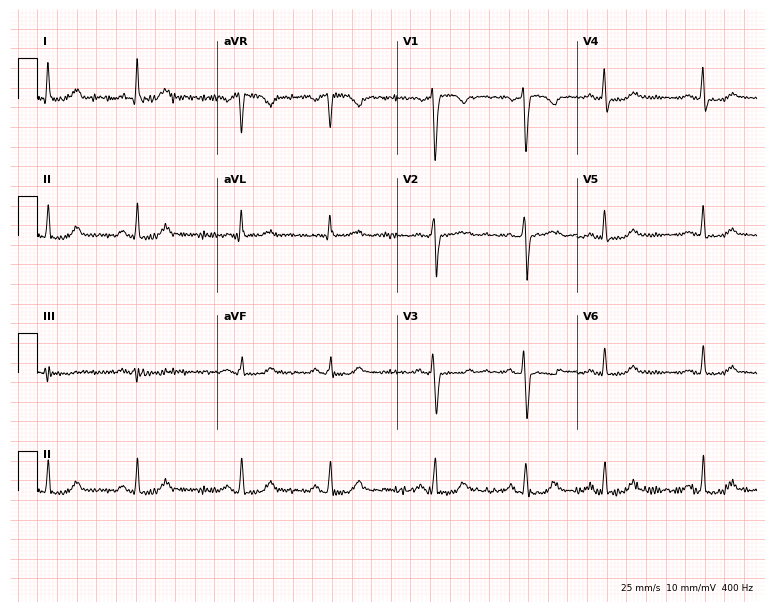
12-lead ECG from a female patient, 41 years old. No first-degree AV block, right bundle branch block (RBBB), left bundle branch block (LBBB), sinus bradycardia, atrial fibrillation (AF) or sinus tachycardia recorded for this tracing.